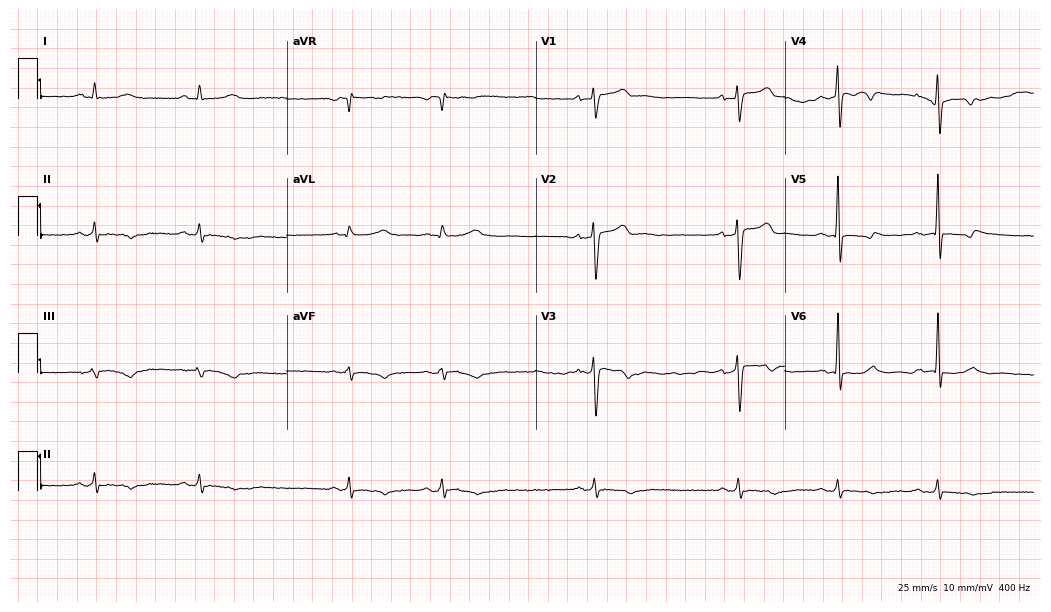
Resting 12-lead electrocardiogram (10.2-second recording at 400 Hz). Patient: a 22-year-old man. None of these six findings is recorded: first-degree AV block, right bundle branch block (RBBB), left bundle branch block (LBBB), sinus bradycardia, atrial fibrillation (AF), sinus tachycardia. Only these six findings were labelled.